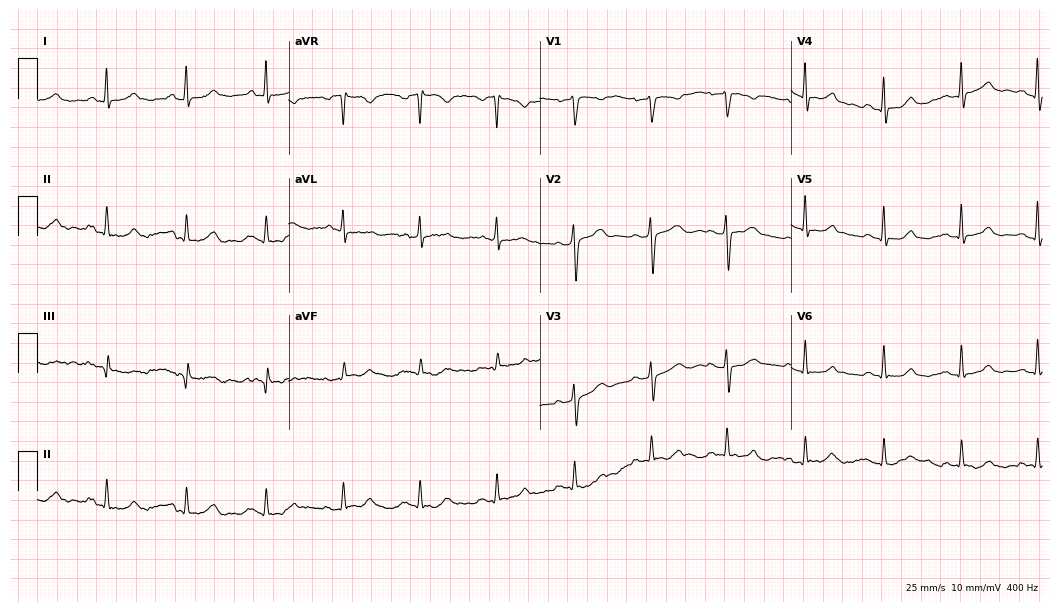
Standard 12-lead ECG recorded from a 60-year-old female. None of these six findings is recorded: first-degree AV block, right bundle branch block, left bundle branch block, sinus bradycardia, atrial fibrillation, sinus tachycardia.